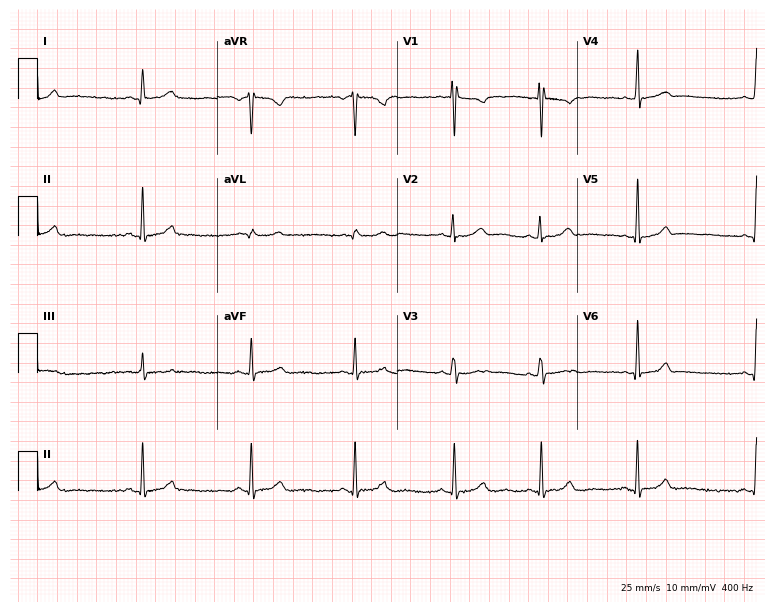
12-lead ECG (7.3-second recording at 400 Hz) from a female patient, 30 years old. Labelled as a normal ECG.